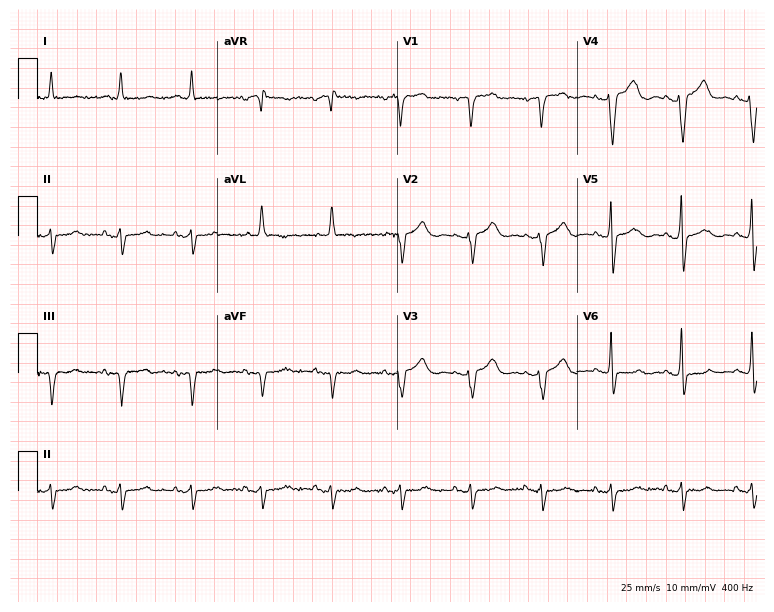
12-lead ECG from an 83-year-old woman (7.3-second recording at 400 Hz). No first-degree AV block, right bundle branch block, left bundle branch block, sinus bradycardia, atrial fibrillation or sinus tachycardia recorded for this tracing. Findings outside these six are not listed.